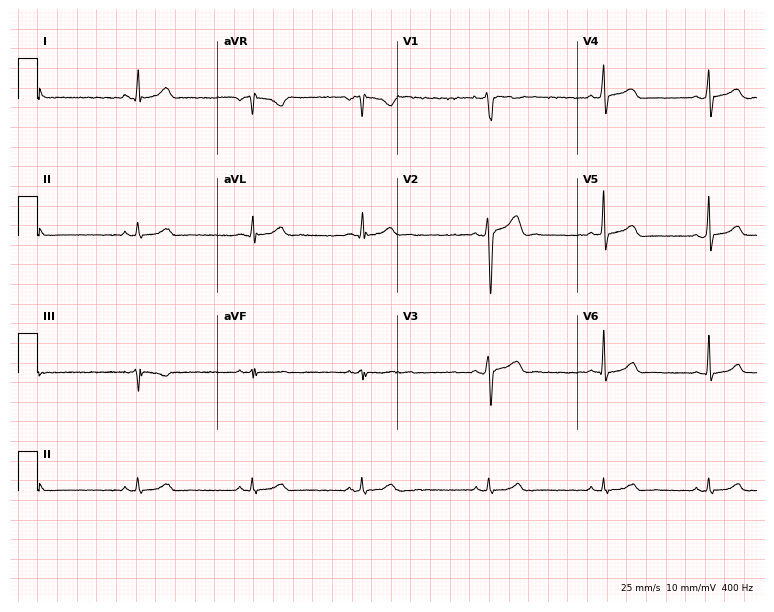
Resting 12-lead electrocardiogram (7.3-second recording at 400 Hz). Patient: a man, 26 years old. Read as a normal ECG.